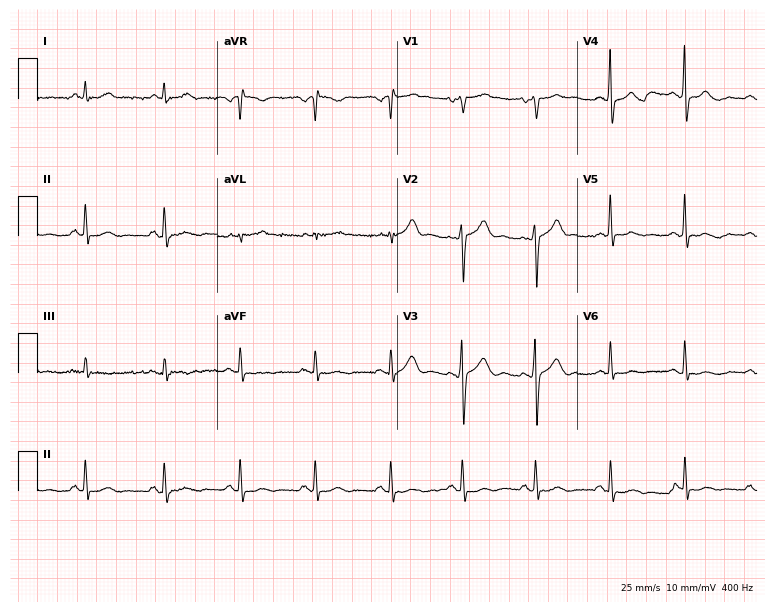
12-lead ECG (7.3-second recording at 400 Hz) from a man, 50 years old. Screened for six findings — first-degree AV block, right bundle branch block, left bundle branch block, sinus bradycardia, atrial fibrillation, sinus tachycardia — none is recorded.